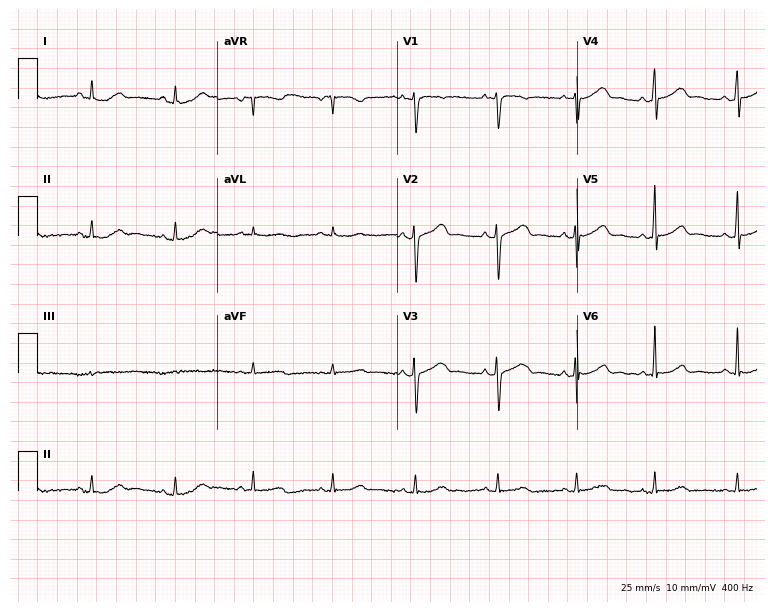
12-lead ECG from a 25-year-old woman (7.3-second recording at 400 Hz). No first-degree AV block, right bundle branch block, left bundle branch block, sinus bradycardia, atrial fibrillation or sinus tachycardia recorded for this tracing. Findings outside these six are not listed.